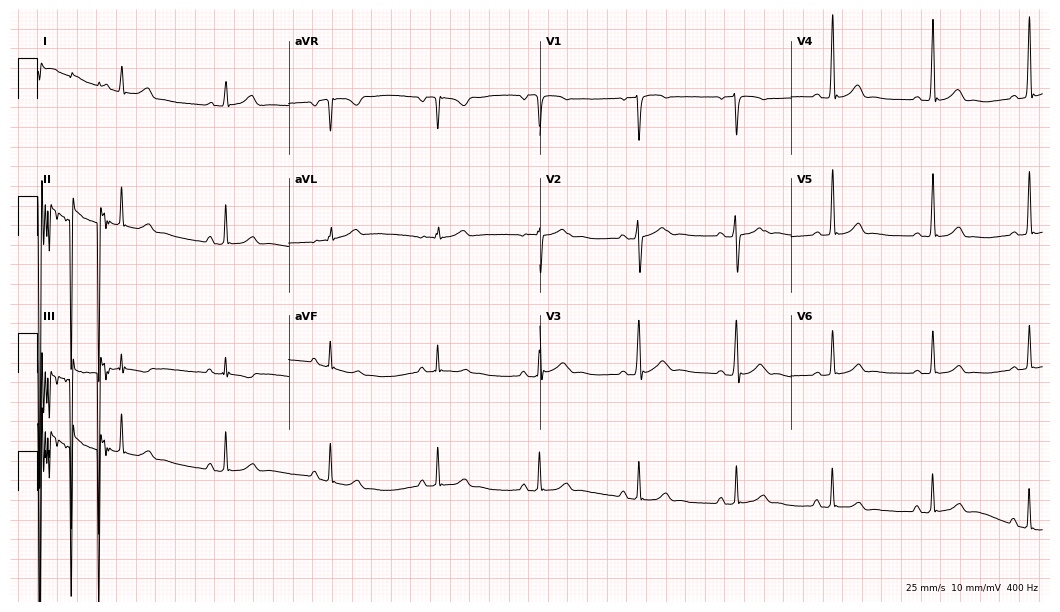
Resting 12-lead electrocardiogram (10.2-second recording at 400 Hz). Patient: a 36-year-old male. None of these six findings is recorded: first-degree AV block, right bundle branch block (RBBB), left bundle branch block (LBBB), sinus bradycardia, atrial fibrillation (AF), sinus tachycardia.